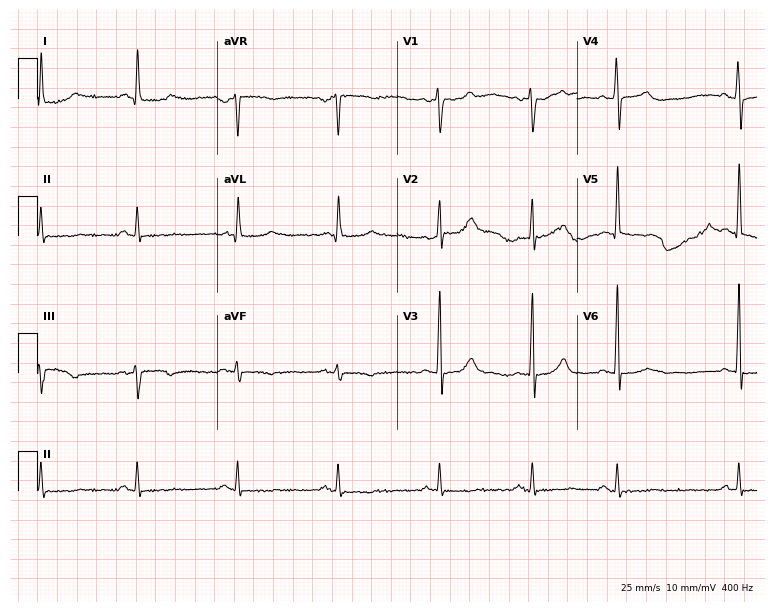
Electrocardiogram, a male patient, 63 years old. Of the six screened findings (first-degree AV block, right bundle branch block (RBBB), left bundle branch block (LBBB), sinus bradycardia, atrial fibrillation (AF), sinus tachycardia), none is recorded. Only these six findings were labelled.